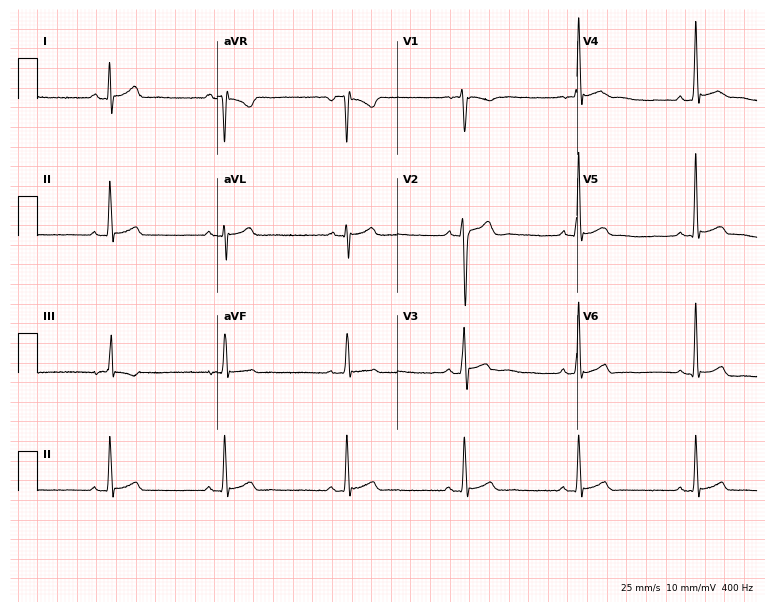
12-lead ECG from a 23-year-old man. Recorded interpretation: within normal limits.